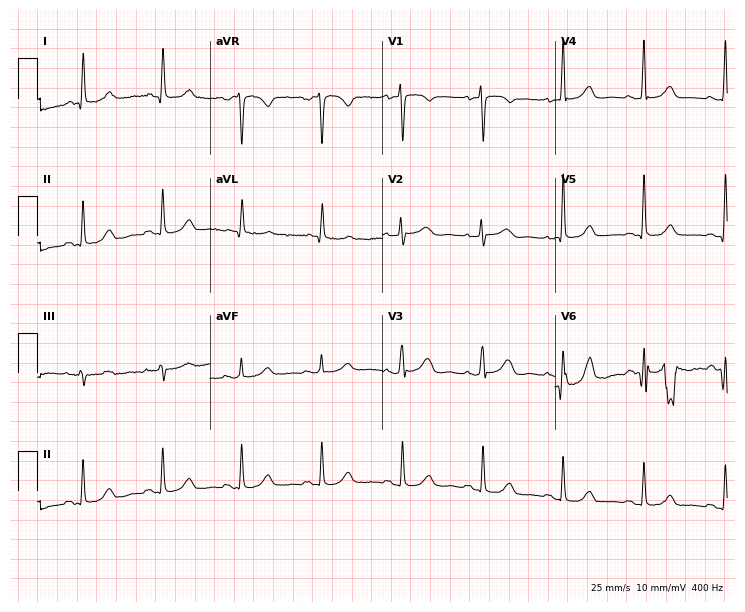
Electrocardiogram (7-second recording at 400 Hz), a 69-year-old female. Overall reading on record: normal ECG.